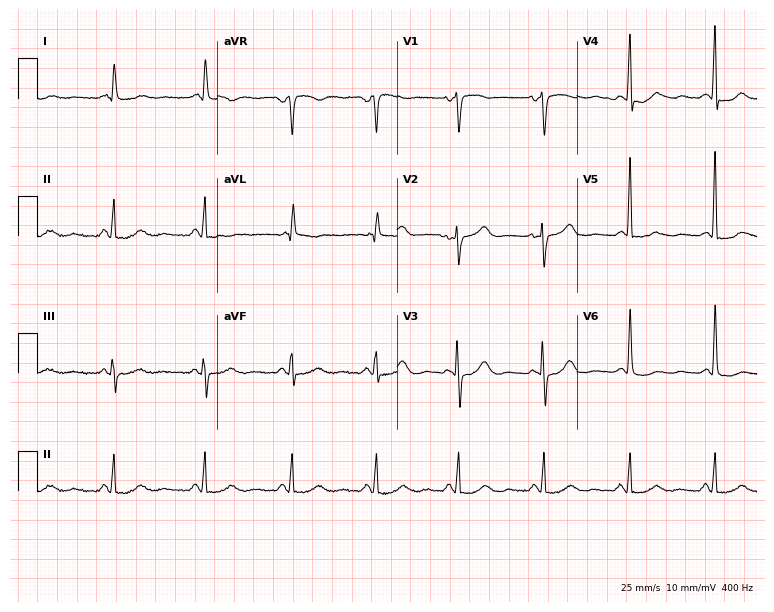
Standard 12-lead ECG recorded from a woman, 63 years old. None of these six findings is recorded: first-degree AV block, right bundle branch block, left bundle branch block, sinus bradycardia, atrial fibrillation, sinus tachycardia.